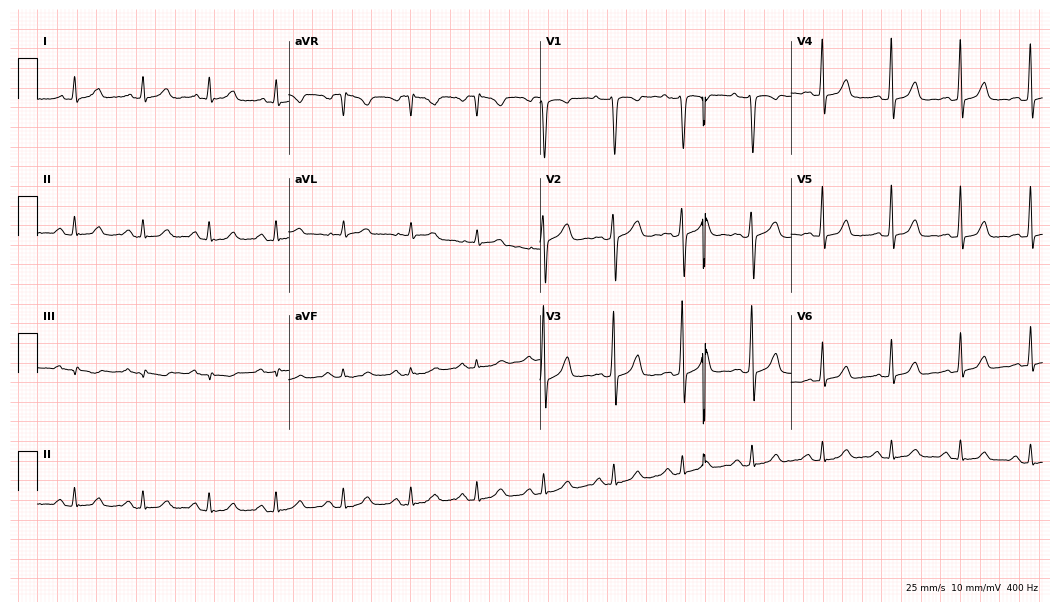
12-lead ECG from a woman, 33 years old. Recorded interpretation: within normal limits.